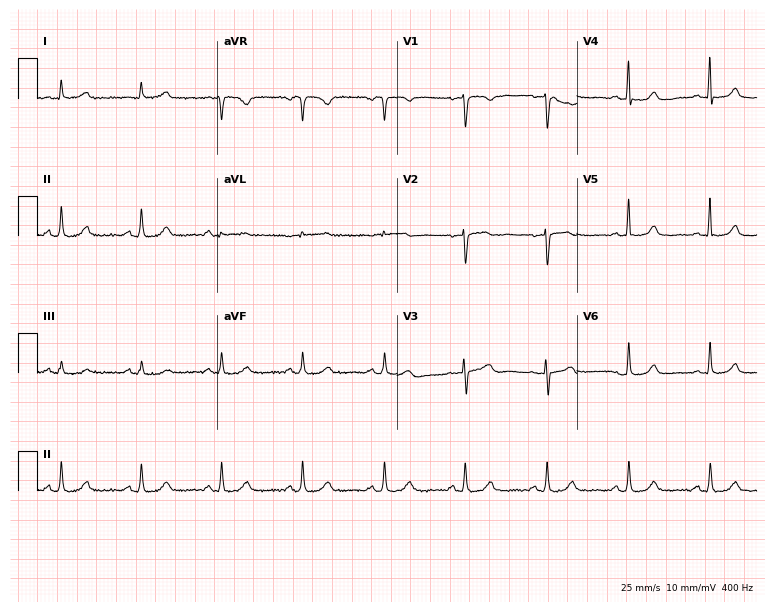
Resting 12-lead electrocardiogram (7.3-second recording at 400 Hz). Patient: a female, 51 years old. Read as a normal ECG.